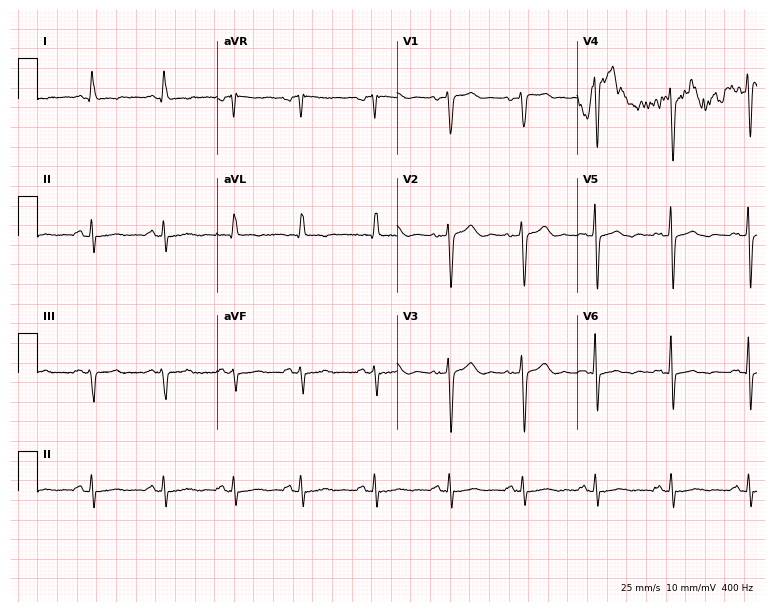
12-lead ECG from a 56-year-old female (7.3-second recording at 400 Hz). No first-degree AV block, right bundle branch block (RBBB), left bundle branch block (LBBB), sinus bradycardia, atrial fibrillation (AF) or sinus tachycardia recorded for this tracing.